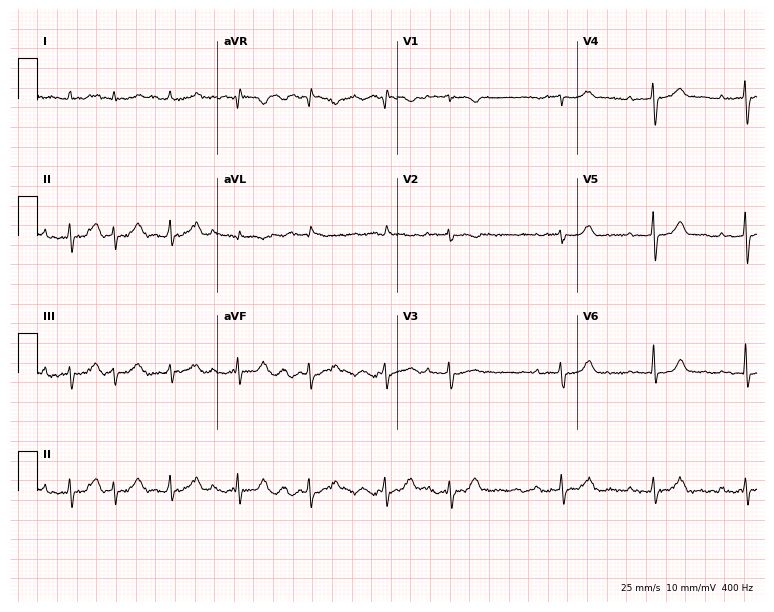
12-lead ECG from a man, 81 years old. No first-degree AV block, right bundle branch block, left bundle branch block, sinus bradycardia, atrial fibrillation or sinus tachycardia recorded for this tracing. Only these six findings were labelled.